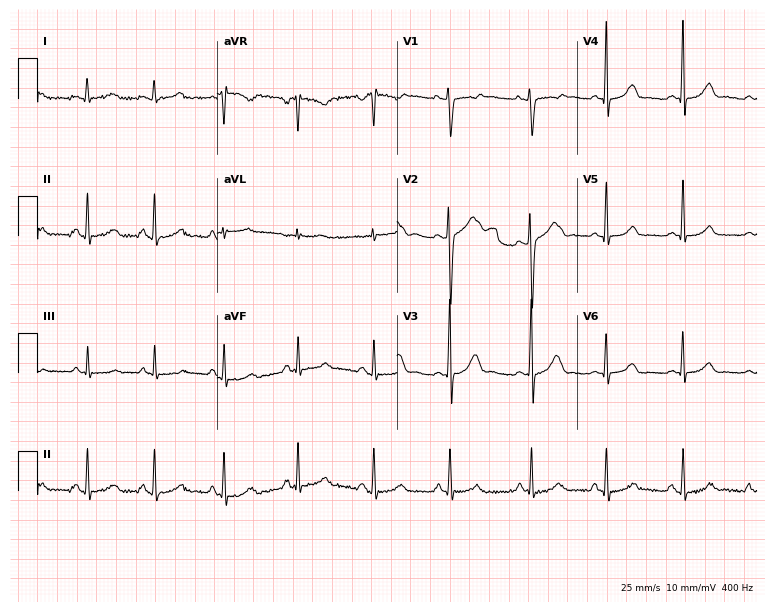
ECG — a female, 25 years old. Screened for six findings — first-degree AV block, right bundle branch block (RBBB), left bundle branch block (LBBB), sinus bradycardia, atrial fibrillation (AF), sinus tachycardia — none is recorded. Only these six findings were labelled.